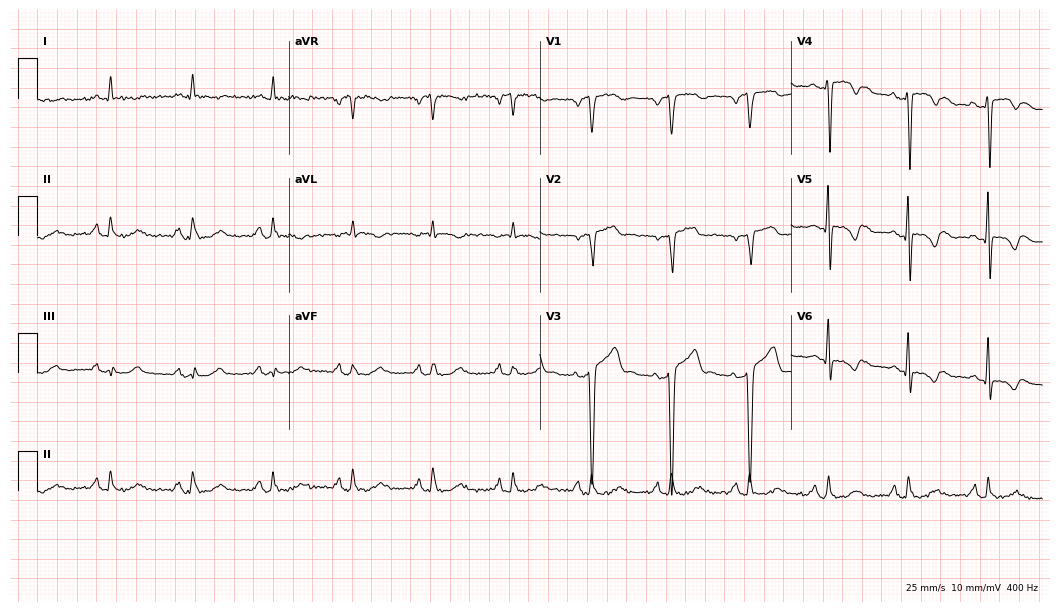
12-lead ECG from a 59-year-old male. No first-degree AV block, right bundle branch block, left bundle branch block, sinus bradycardia, atrial fibrillation or sinus tachycardia recorded for this tracing. Only these six findings were labelled.